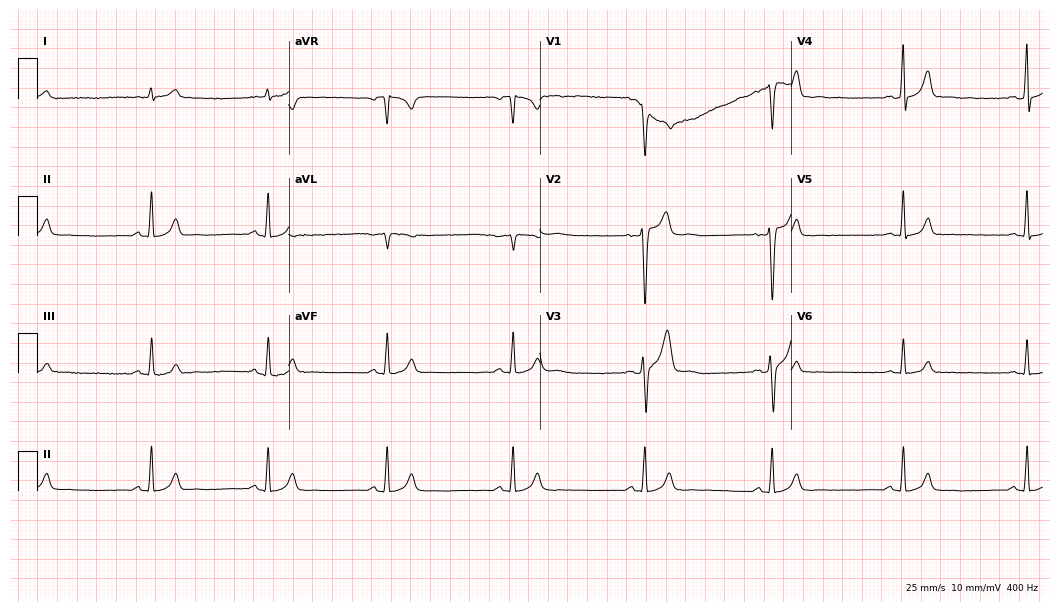
ECG — a male, 24 years old. Labelled as a normal ECG.